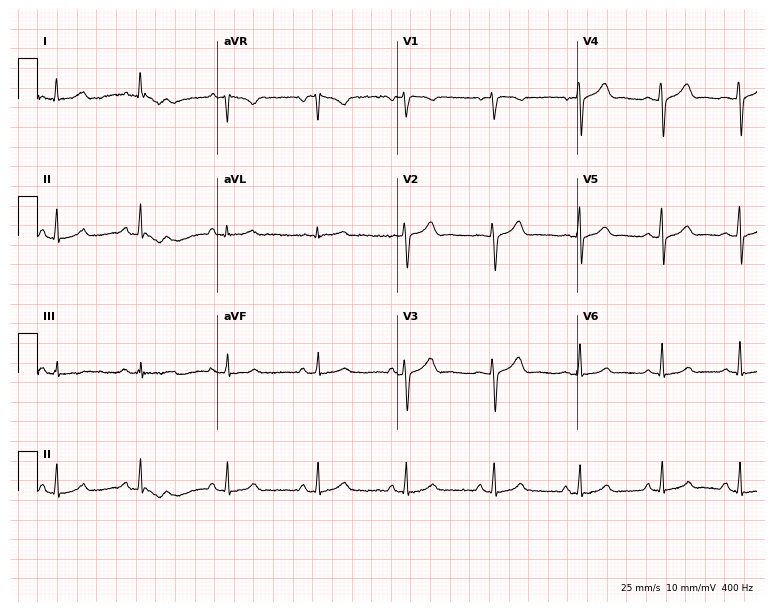
ECG — a 41-year-old woman. Labelled as a normal ECG.